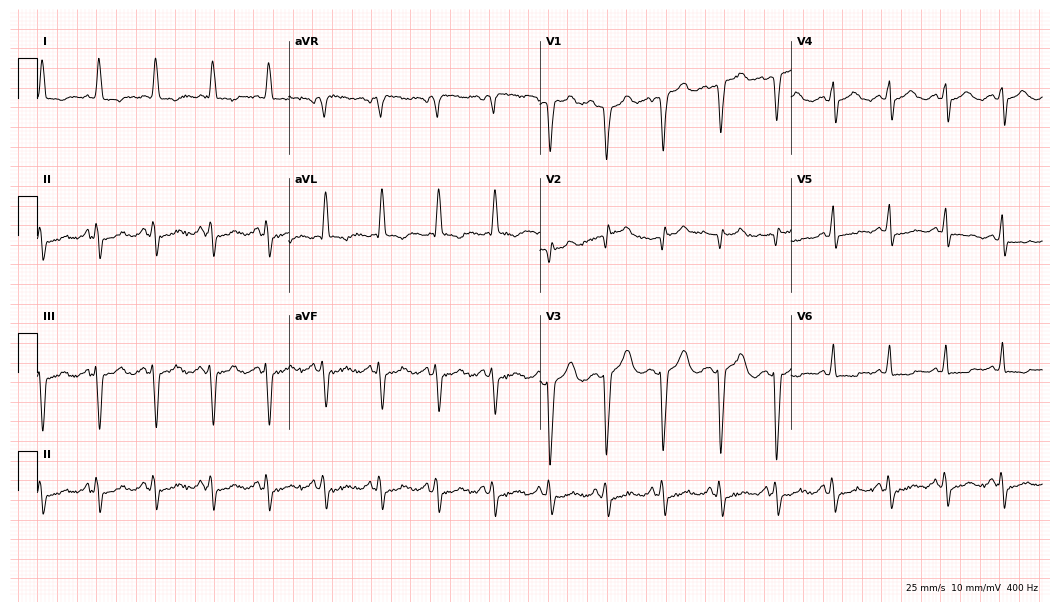
Resting 12-lead electrocardiogram (10.2-second recording at 400 Hz). Patient: a woman, 66 years old. None of these six findings is recorded: first-degree AV block, right bundle branch block, left bundle branch block, sinus bradycardia, atrial fibrillation, sinus tachycardia. Findings outside these six are not listed.